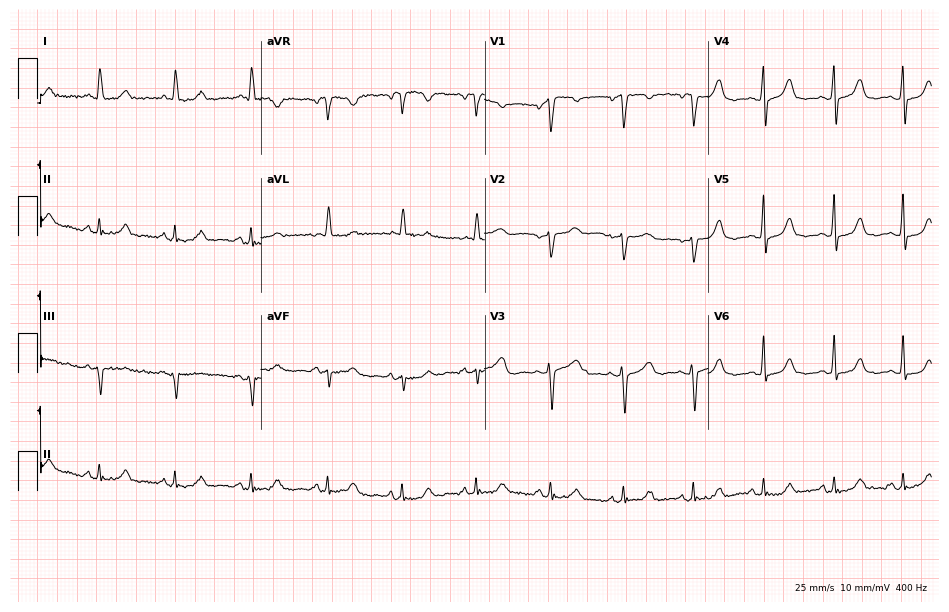
12-lead ECG from a woman, 71 years old. Labelled as a normal ECG.